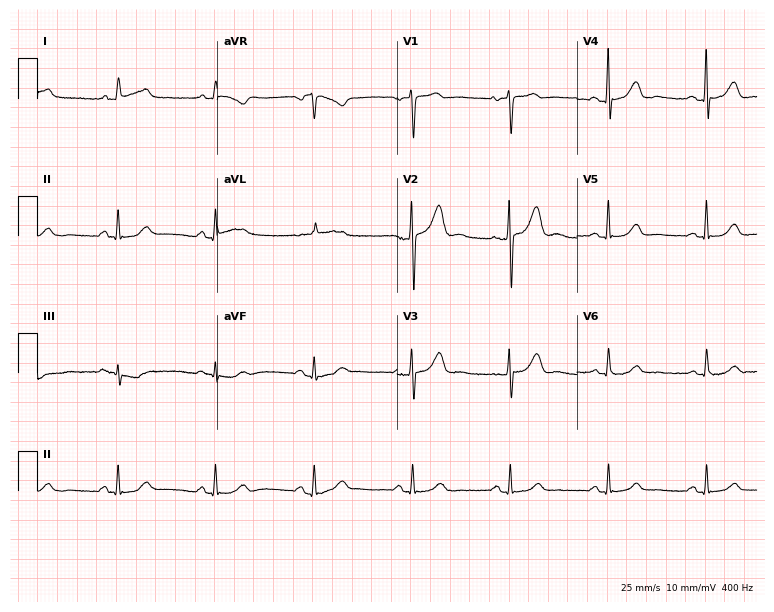
12-lead ECG from a female, 60 years old. Recorded interpretation: within normal limits.